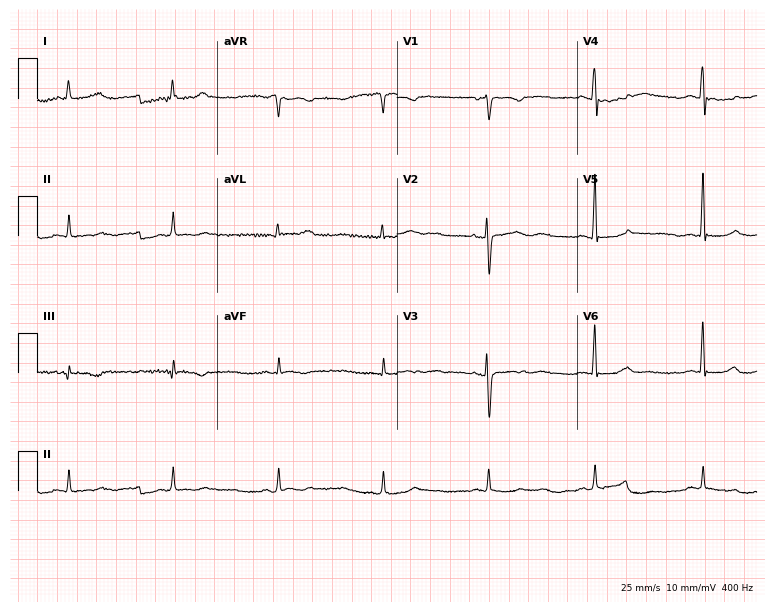
12-lead ECG from a woman, 58 years old. Screened for six findings — first-degree AV block, right bundle branch block (RBBB), left bundle branch block (LBBB), sinus bradycardia, atrial fibrillation (AF), sinus tachycardia — none is recorded.